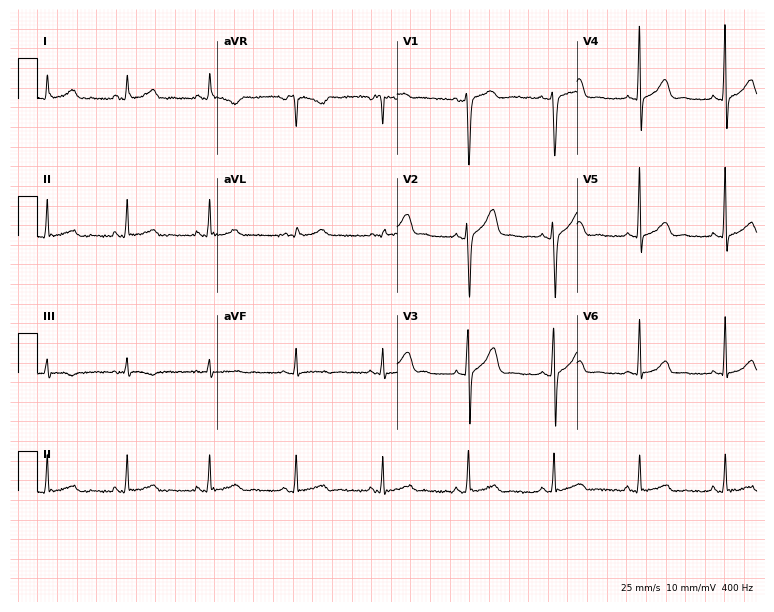
12-lead ECG from a female, 38 years old (7.3-second recording at 400 Hz). No first-degree AV block, right bundle branch block, left bundle branch block, sinus bradycardia, atrial fibrillation or sinus tachycardia recorded for this tracing. Only these six findings were labelled.